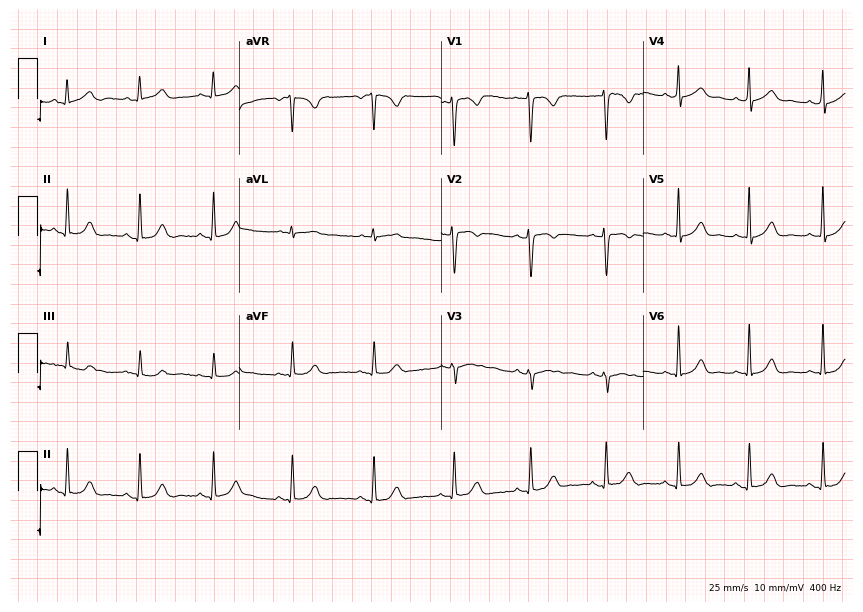
12-lead ECG from a female patient, 28 years old. Labelled as a normal ECG.